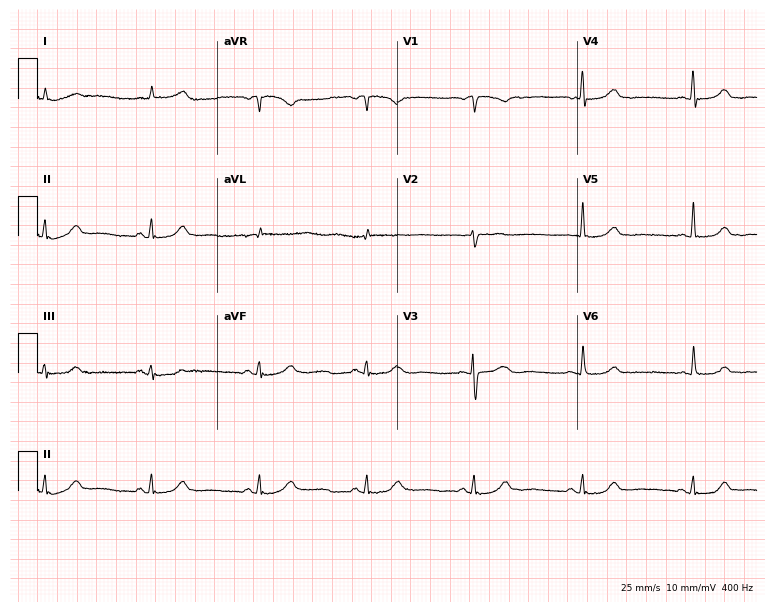
Standard 12-lead ECG recorded from a female patient, 61 years old. Read as a normal ECG.